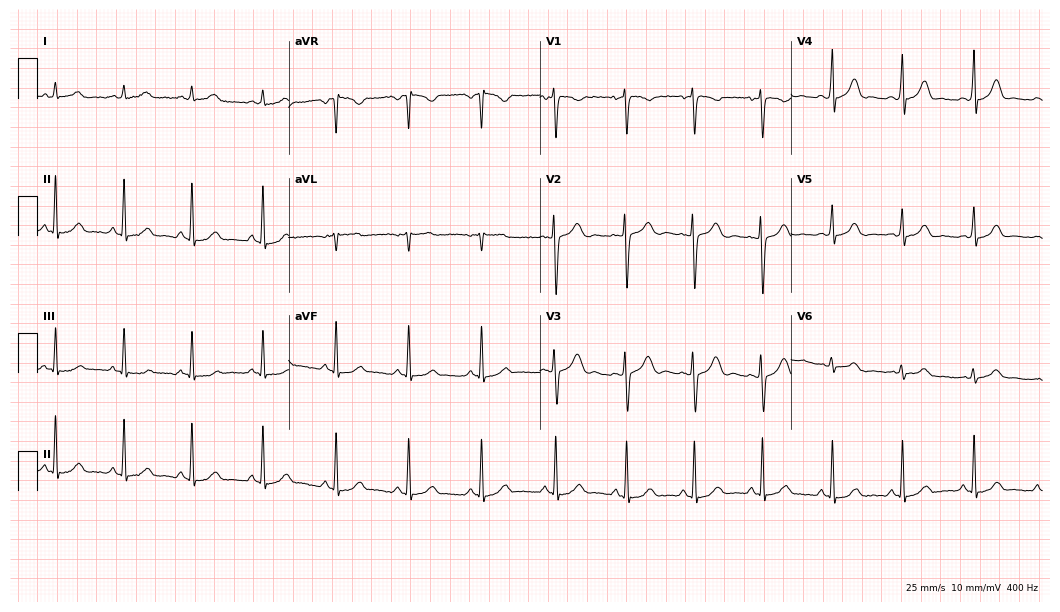
ECG — a 22-year-old female. Labelled as a normal ECG.